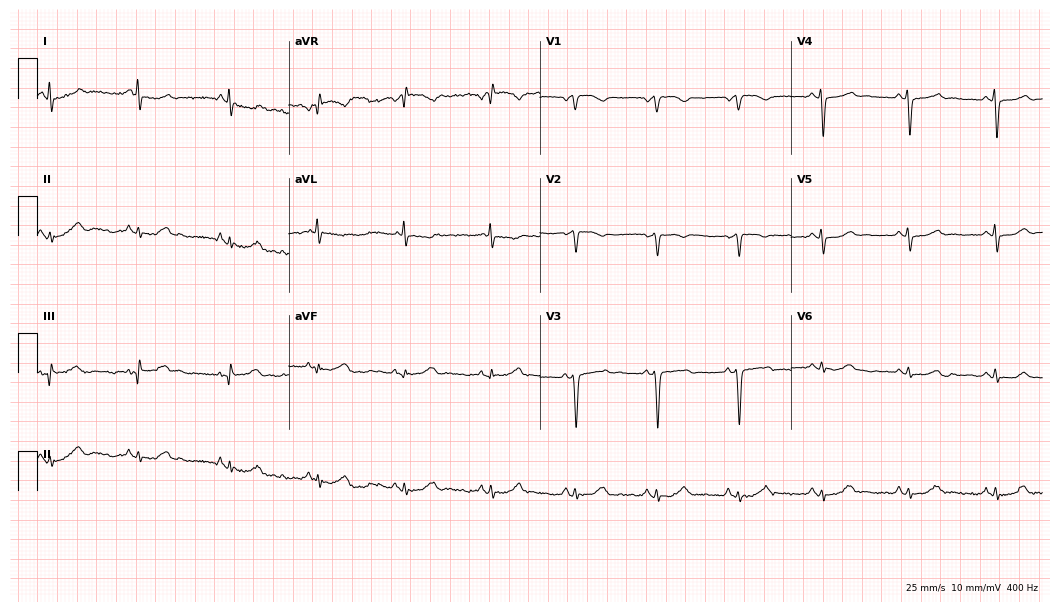
Electrocardiogram, a female patient, 62 years old. Of the six screened findings (first-degree AV block, right bundle branch block, left bundle branch block, sinus bradycardia, atrial fibrillation, sinus tachycardia), none is recorded.